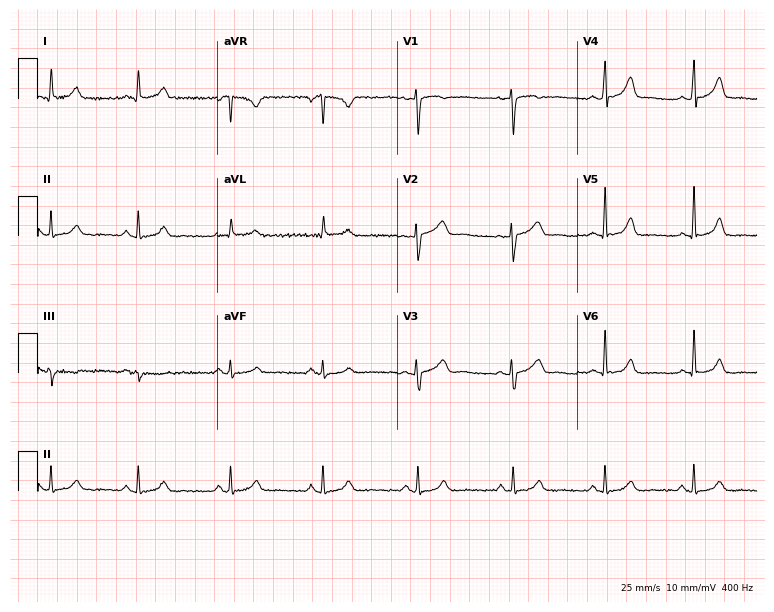
12-lead ECG from a female, 39 years old (7.3-second recording at 400 Hz). Recorded interpretation: within normal limits.